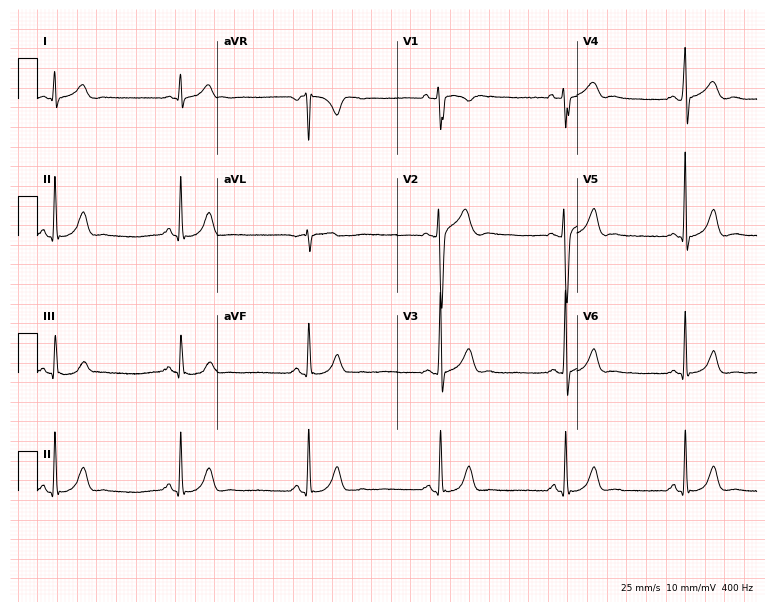
12-lead ECG (7.3-second recording at 400 Hz) from a 27-year-old male. Findings include sinus bradycardia (a sinus rate of 50 beats per minute or less).